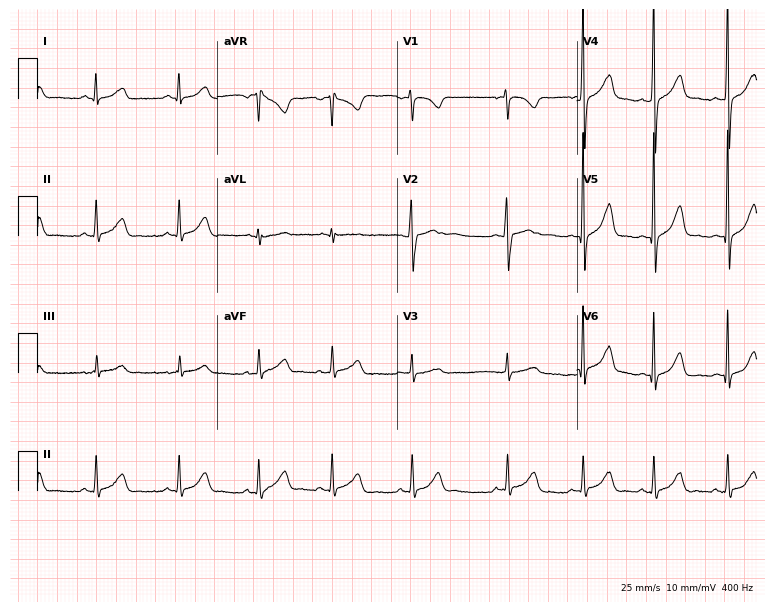
Electrocardiogram (7.3-second recording at 400 Hz), a 60-year-old female. Overall reading on record: normal ECG.